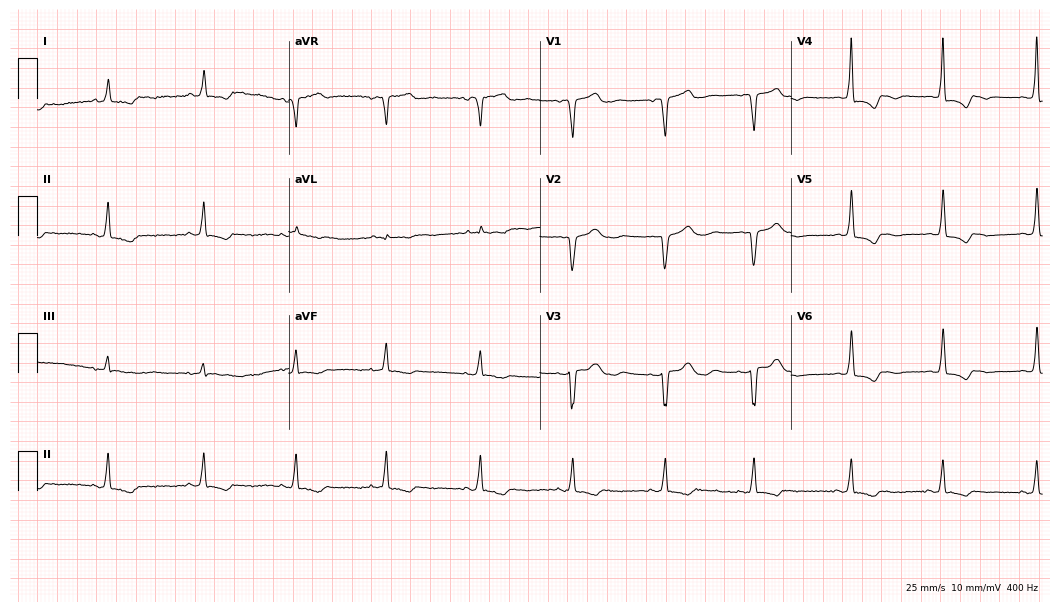
Electrocardiogram (10.2-second recording at 400 Hz), a 76-year-old woman. Of the six screened findings (first-degree AV block, right bundle branch block, left bundle branch block, sinus bradycardia, atrial fibrillation, sinus tachycardia), none is recorded.